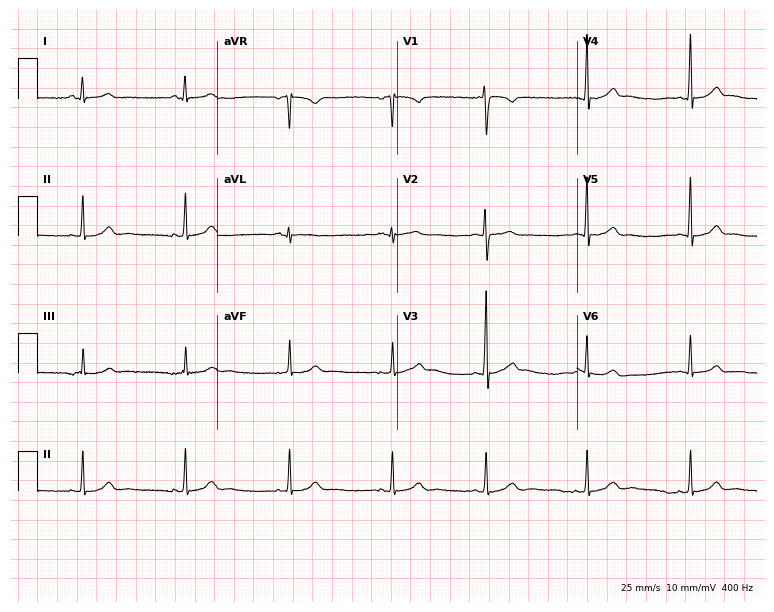
12-lead ECG from a female, 22 years old (7.3-second recording at 400 Hz). Recorded interpretation: within normal limits.